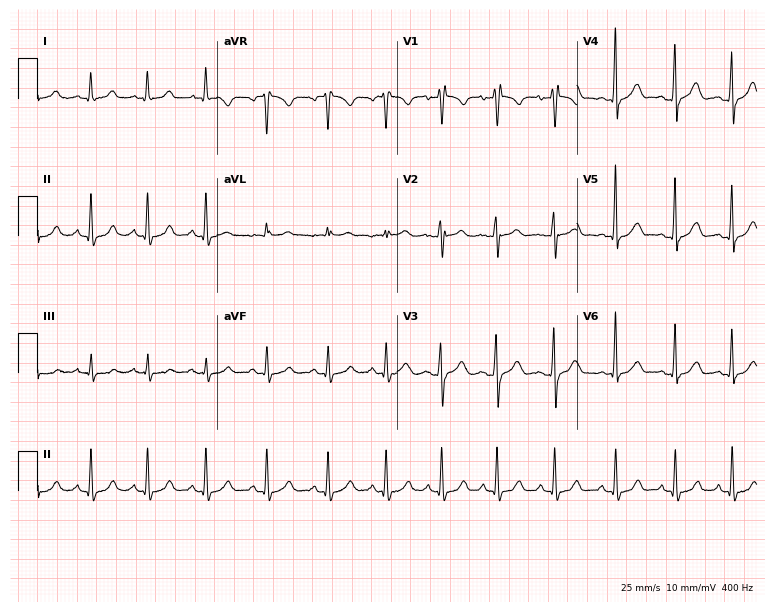
ECG (7.3-second recording at 400 Hz) — a 17-year-old female. Screened for six findings — first-degree AV block, right bundle branch block, left bundle branch block, sinus bradycardia, atrial fibrillation, sinus tachycardia — none is recorded.